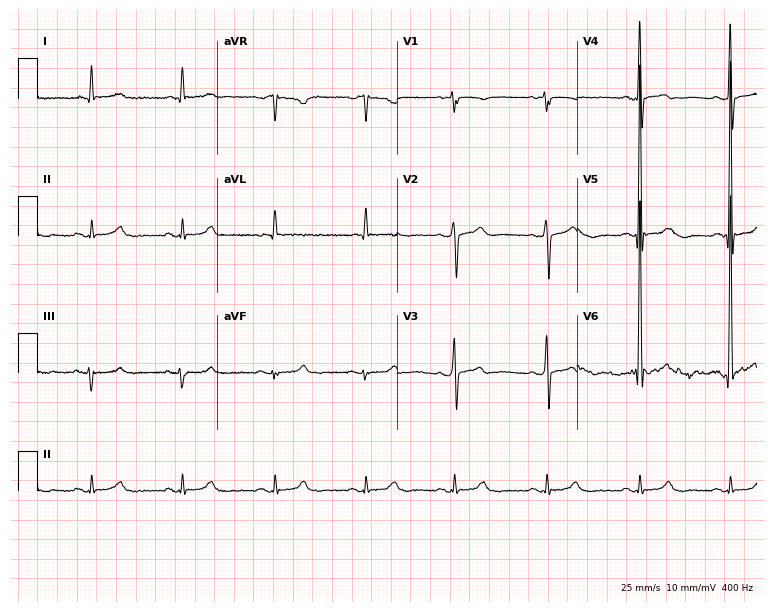
ECG (7.3-second recording at 400 Hz) — a man, 50 years old. Labelled as a normal ECG.